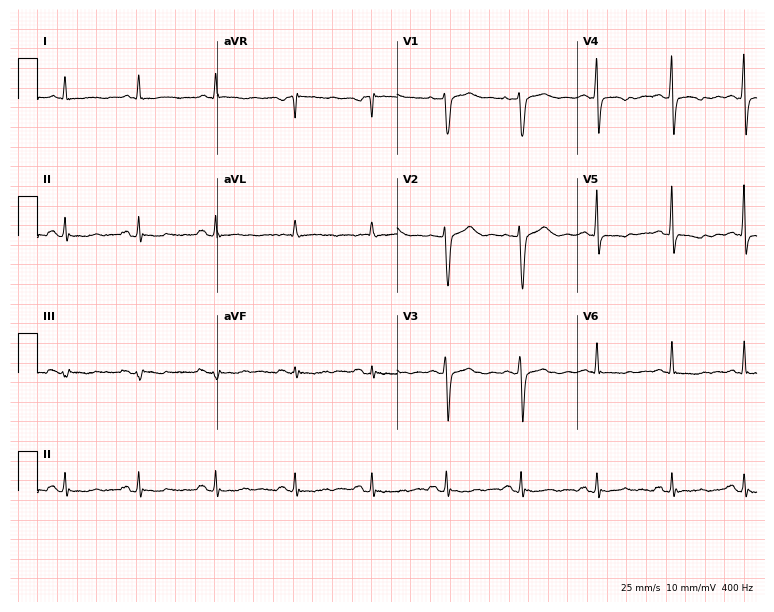
Resting 12-lead electrocardiogram (7.3-second recording at 400 Hz). Patient: a 57-year-old woman. None of these six findings is recorded: first-degree AV block, right bundle branch block (RBBB), left bundle branch block (LBBB), sinus bradycardia, atrial fibrillation (AF), sinus tachycardia. Only these six findings were labelled.